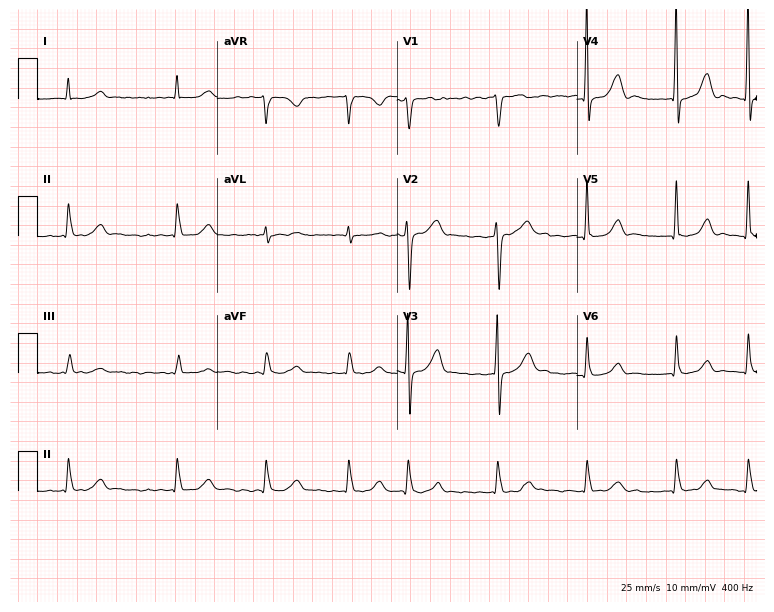
12-lead ECG from a female patient, 80 years old. Findings include atrial fibrillation.